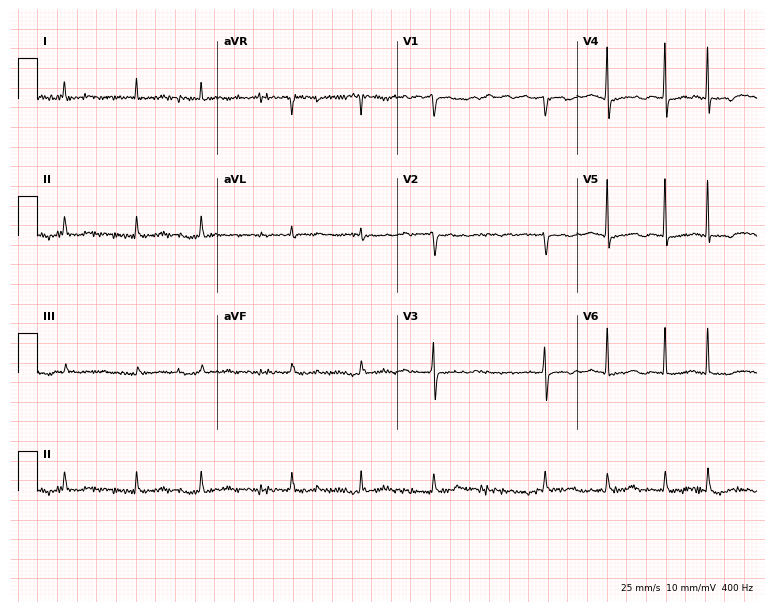
12-lead ECG from an 84-year-old woman (7.3-second recording at 400 Hz). No first-degree AV block, right bundle branch block (RBBB), left bundle branch block (LBBB), sinus bradycardia, atrial fibrillation (AF) or sinus tachycardia recorded for this tracing. Other findings, if any, are not listed.